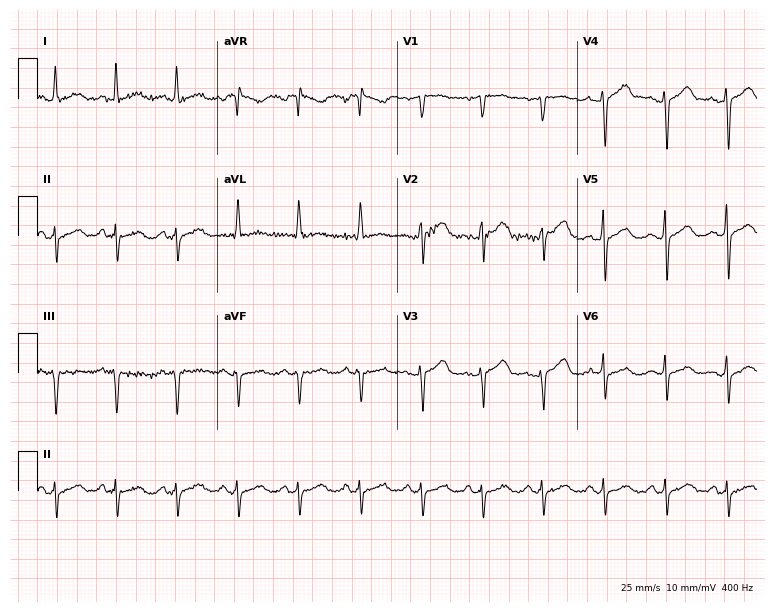
Electrocardiogram (7.3-second recording at 400 Hz), a female patient, 74 years old. Of the six screened findings (first-degree AV block, right bundle branch block (RBBB), left bundle branch block (LBBB), sinus bradycardia, atrial fibrillation (AF), sinus tachycardia), none is recorded.